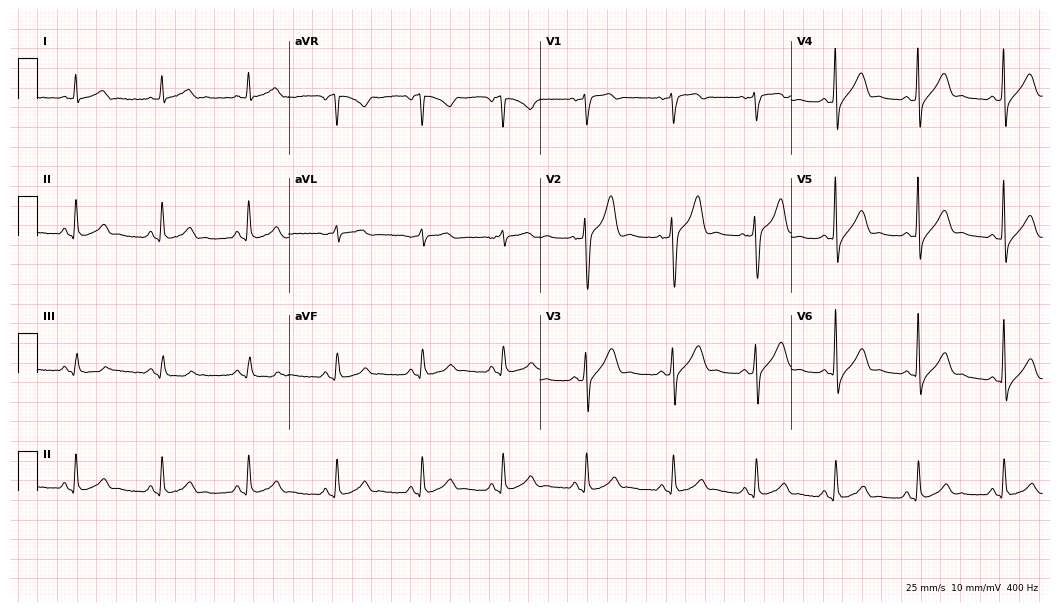
Resting 12-lead electrocardiogram (10.2-second recording at 400 Hz). Patient: a male, 51 years old. None of these six findings is recorded: first-degree AV block, right bundle branch block, left bundle branch block, sinus bradycardia, atrial fibrillation, sinus tachycardia.